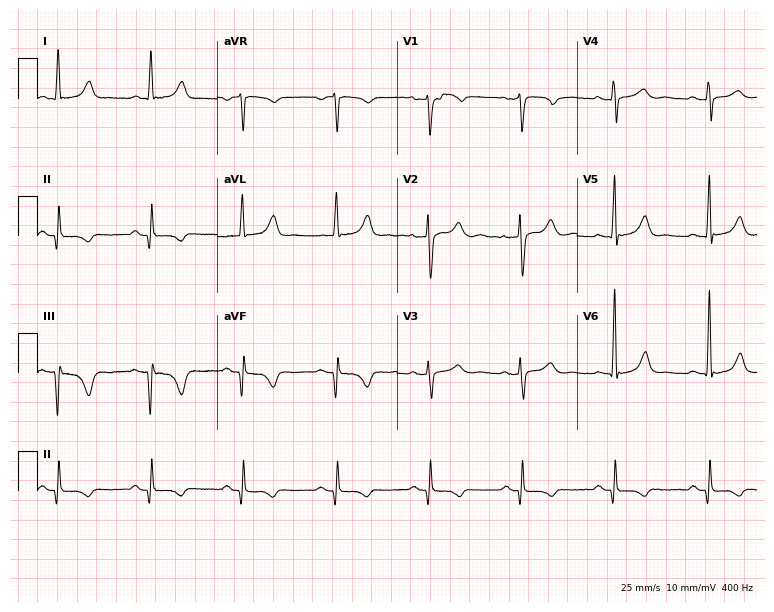
Electrocardiogram (7.3-second recording at 400 Hz), a man, 49 years old. Of the six screened findings (first-degree AV block, right bundle branch block (RBBB), left bundle branch block (LBBB), sinus bradycardia, atrial fibrillation (AF), sinus tachycardia), none is recorded. Only these six findings were labelled.